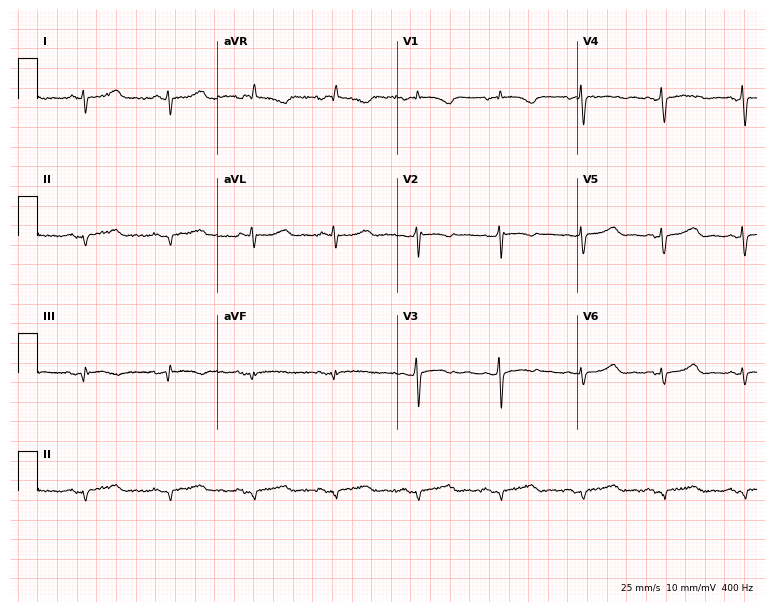
12-lead ECG from a female, 51 years old (7.3-second recording at 400 Hz). No first-degree AV block, right bundle branch block (RBBB), left bundle branch block (LBBB), sinus bradycardia, atrial fibrillation (AF) or sinus tachycardia recorded for this tracing. Only these six findings were labelled.